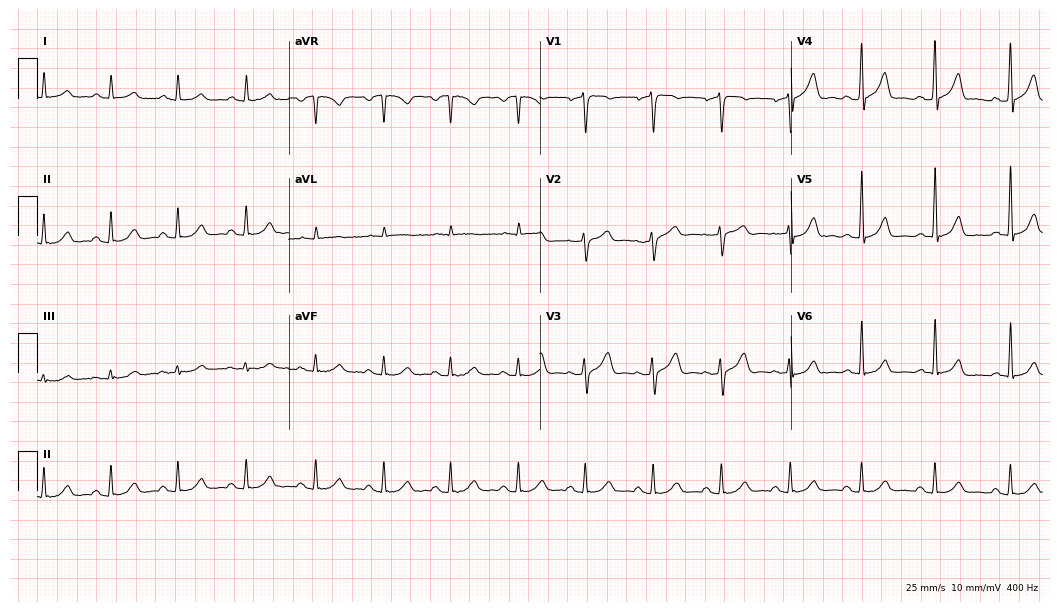
12-lead ECG from a 50-year-old male patient. Recorded interpretation: within normal limits.